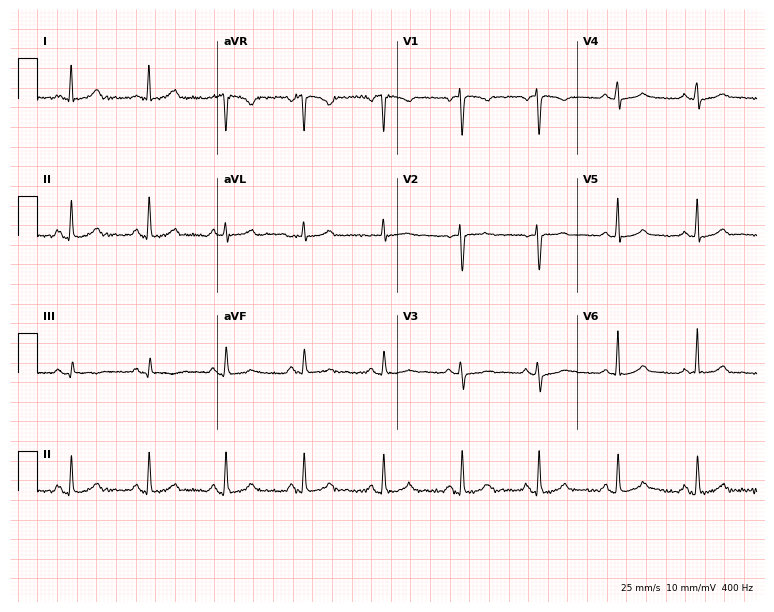
Resting 12-lead electrocardiogram. Patient: a female, 63 years old. None of these six findings is recorded: first-degree AV block, right bundle branch block (RBBB), left bundle branch block (LBBB), sinus bradycardia, atrial fibrillation (AF), sinus tachycardia.